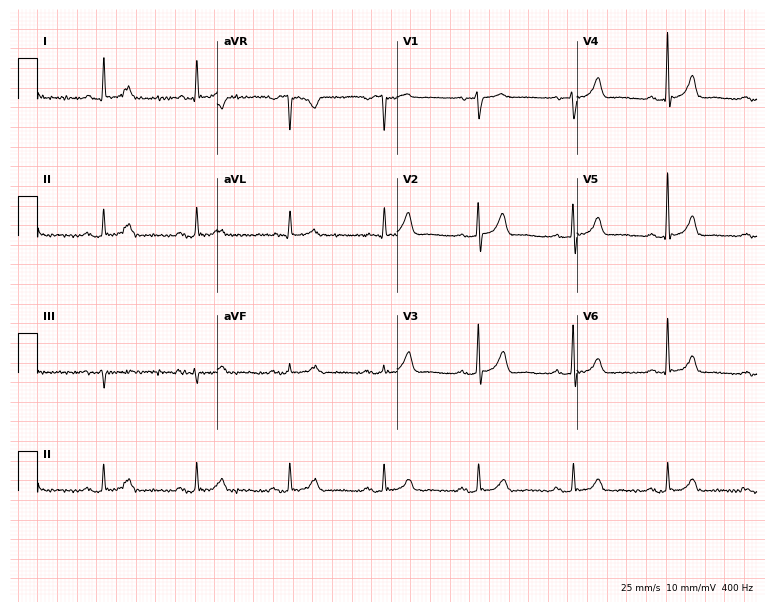
12-lead ECG from a 72-year-old male patient. No first-degree AV block, right bundle branch block (RBBB), left bundle branch block (LBBB), sinus bradycardia, atrial fibrillation (AF) or sinus tachycardia recorded for this tracing. Findings outside these six are not listed.